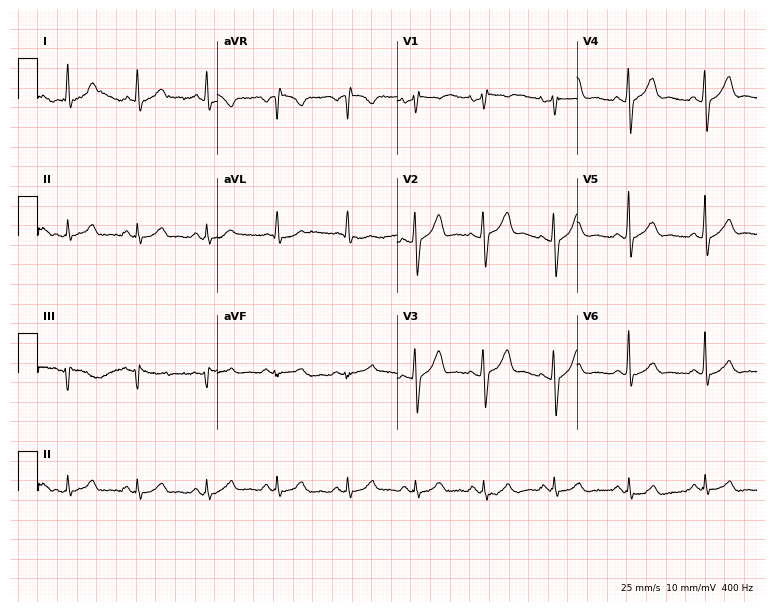
Resting 12-lead electrocardiogram (7.3-second recording at 400 Hz). Patient: a 52-year-old male. Read as a normal ECG.